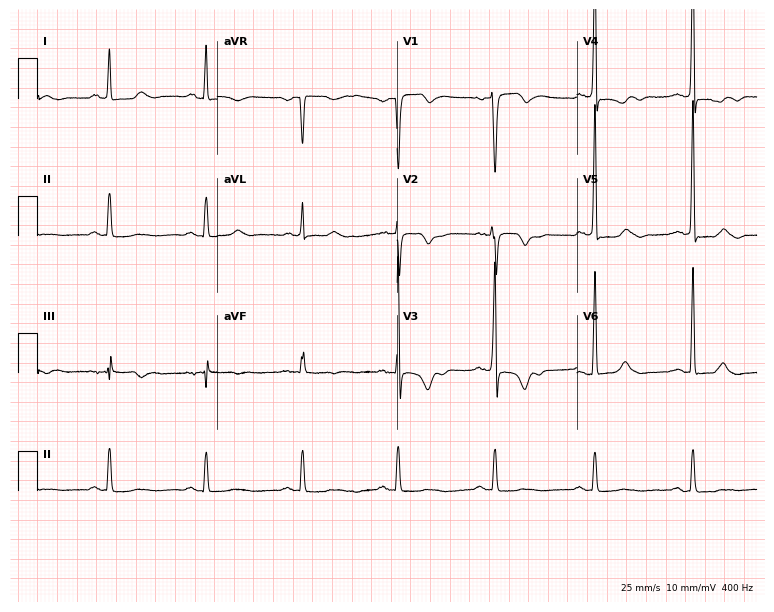
Standard 12-lead ECG recorded from a male, 50 years old. None of these six findings is recorded: first-degree AV block, right bundle branch block, left bundle branch block, sinus bradycardia, atrial fibrillation, sinus tachycardia.